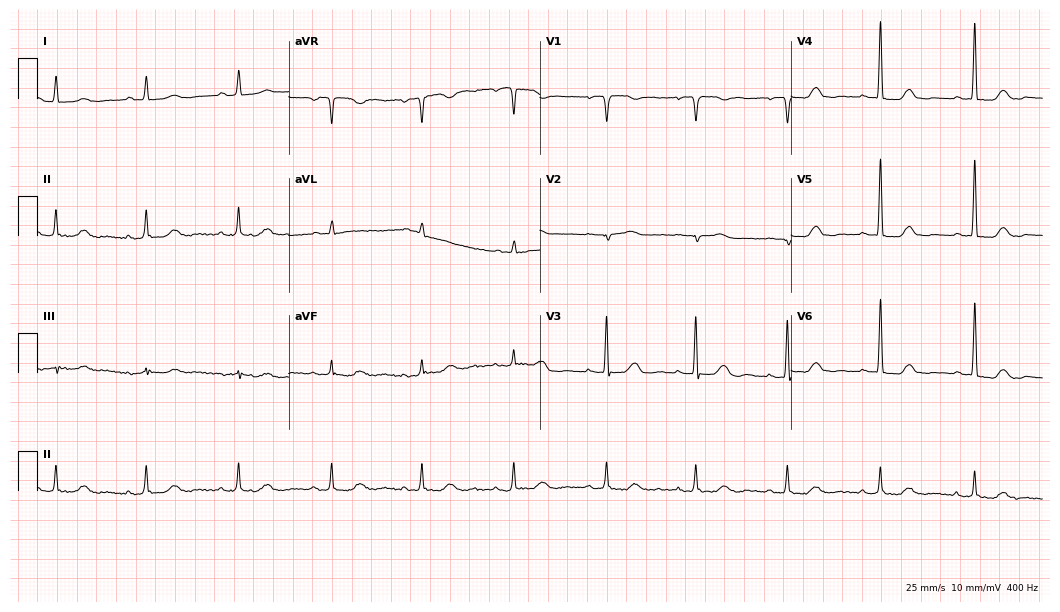
12-lead ECG (10.2-second recording at 400 Hz) from a female patient, 68 years old. Labelled as a normal ECG.